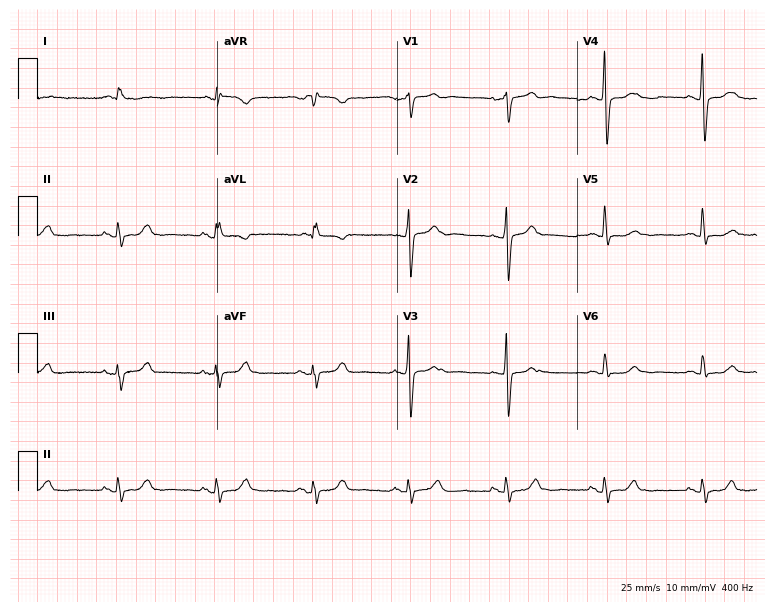
Electrocardiogram (7.3-second recording at 400 Hz), a 67-year-old man. Overall reading on record: normal ECG.